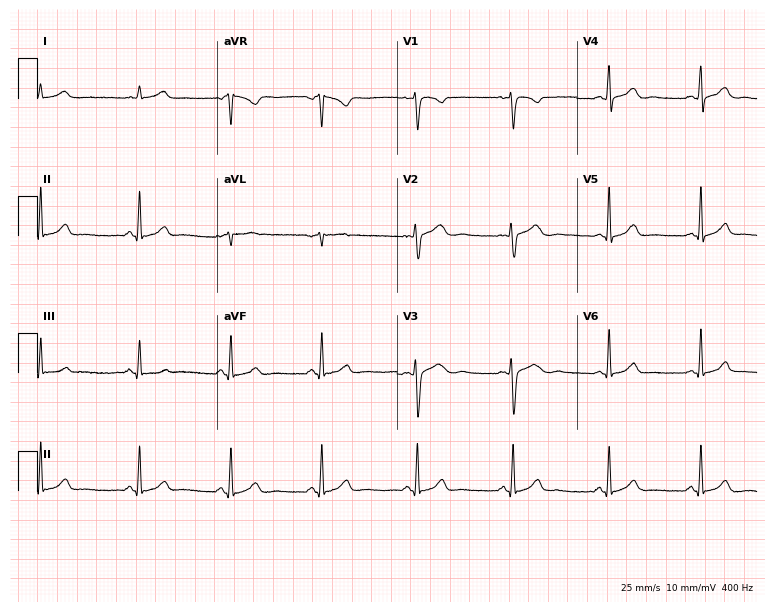
Standard 12-lead ECG recorded from a 33-year-old female patient (7.3-second recording at 400 Hz). None of these six findings is recorded: first-degree AV block, right bundle branch block (RBBB), left bundle branch block (LBBB), sinus bradycardia, atrial fibrillation (AF), sinus tachycardia.